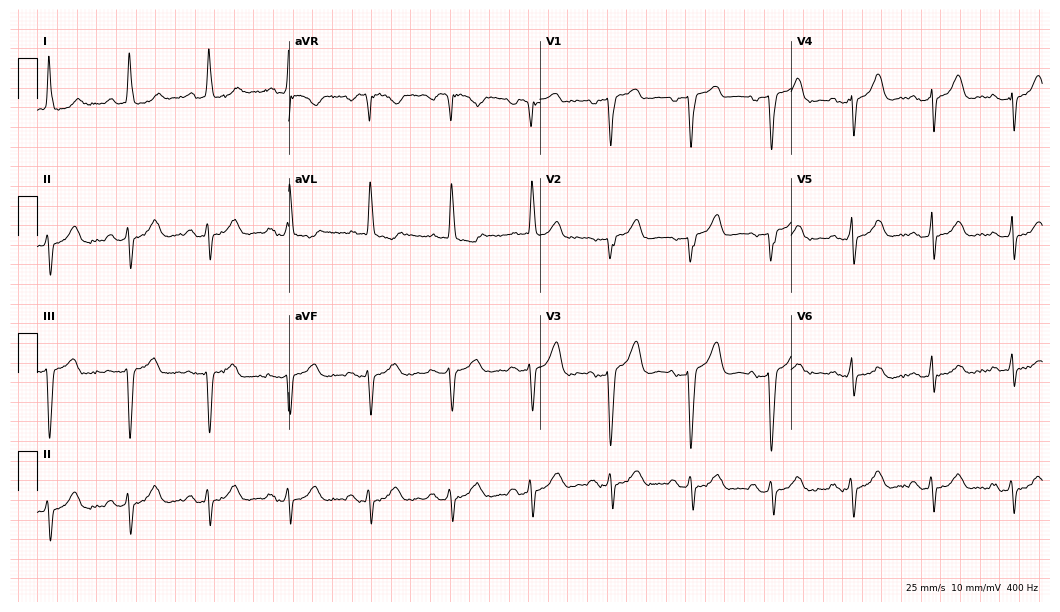
12-lead ECG from a female, 70 years old (10.2-second recording at 400 Hz). No first-degree AV block, right bundle branch block (RBBB), left bundle branch block (LBBB), sinus bradycardia, atrial fibrillation (AF) or sinus tachycardia recorded for this tracing. Only these six findings were labelled.